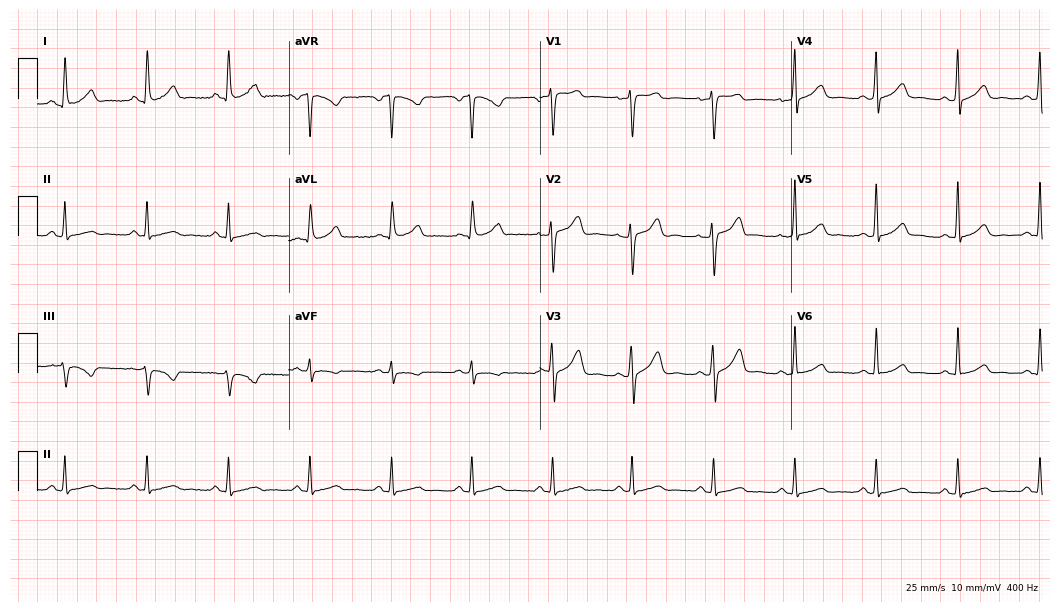
12-lead ECG (10.2-second recording at 400 Hz) from a 37-year-old female patient. Labelled as a normal ECG.